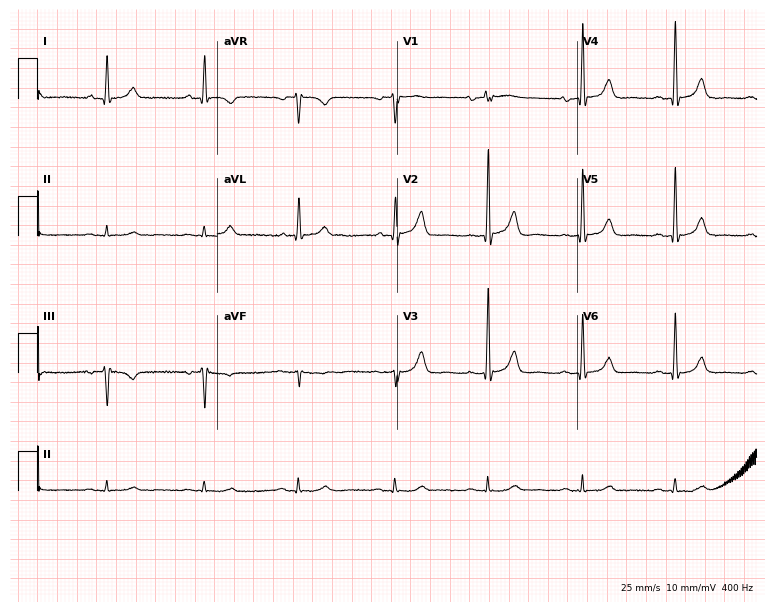
ECG — a male patient, 63 years old. Screened for six findings — first-degree AV block, right bundle branch block, left bundle branch block, sinus bradycardia, atrial fibrillation, sinus tachycardia — none is recorded.